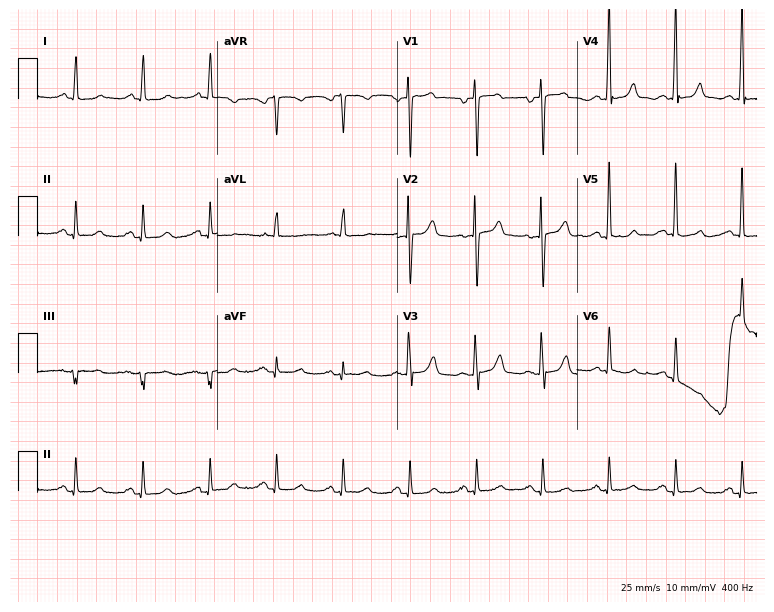
ECG — a woman, 62 years old. Screened for six findings — first-degree AV block, right bundle branch block (RBBB), left bundle branch block (LBBB), sinus bradycardia, atrial fibrillation (AF), sinus tachycardia — none is recorded.